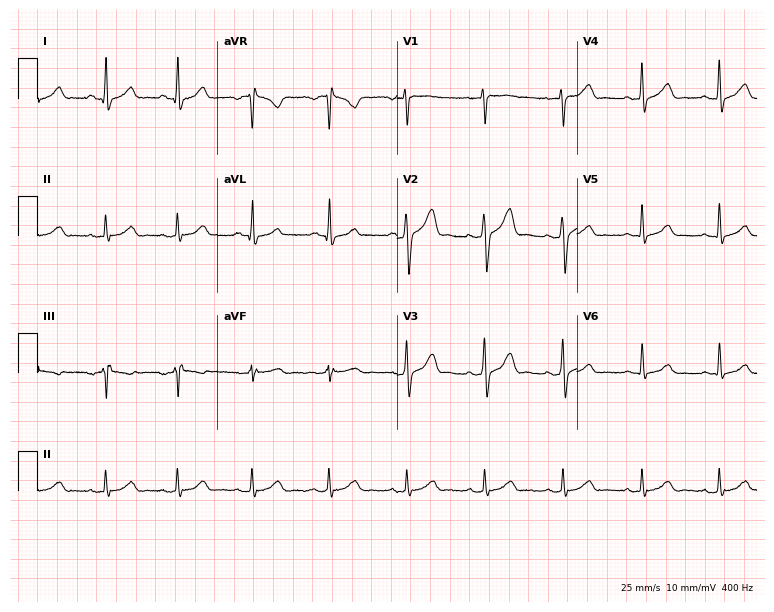
Electrocardiogram, a female patient, 44 years old. Overall reading on record: normal ECG.